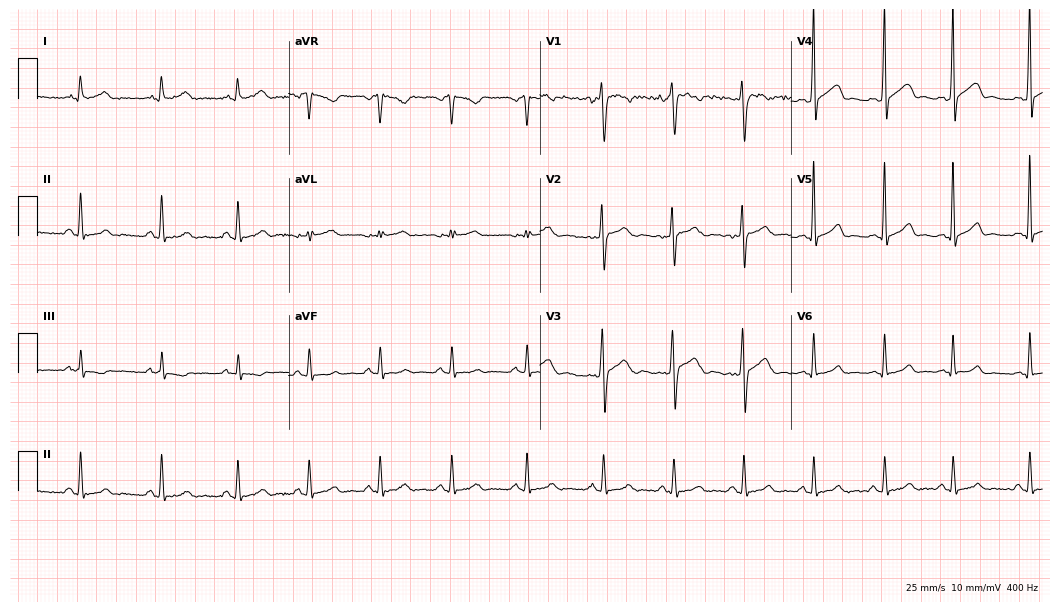
ECG (10.2-second recording at 400 Hz) — a male, 25 years old. Screened for six findings — first-degree AV block, right bundle branch block (RBBB), left bundle branch block (LBBB), sinus bradycardia, atrial fibrillation (AF), sinus tachycardia — none is recorded.